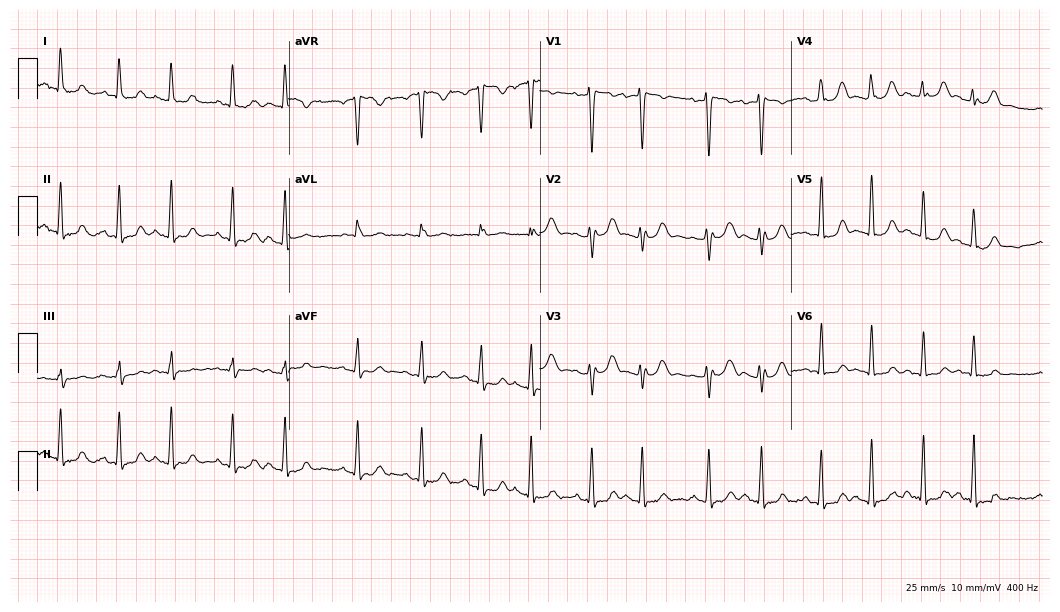
Resting 12-lead electrocardiogram (10.2-second recording at 400 Hz). Patient: a 35-year-old woman. None of these six findings is recorded: first-degree AV block, right bundle branch block, left bundle branch block, sinus bradycardia, atrial fibrillation, sinus tachycardia.